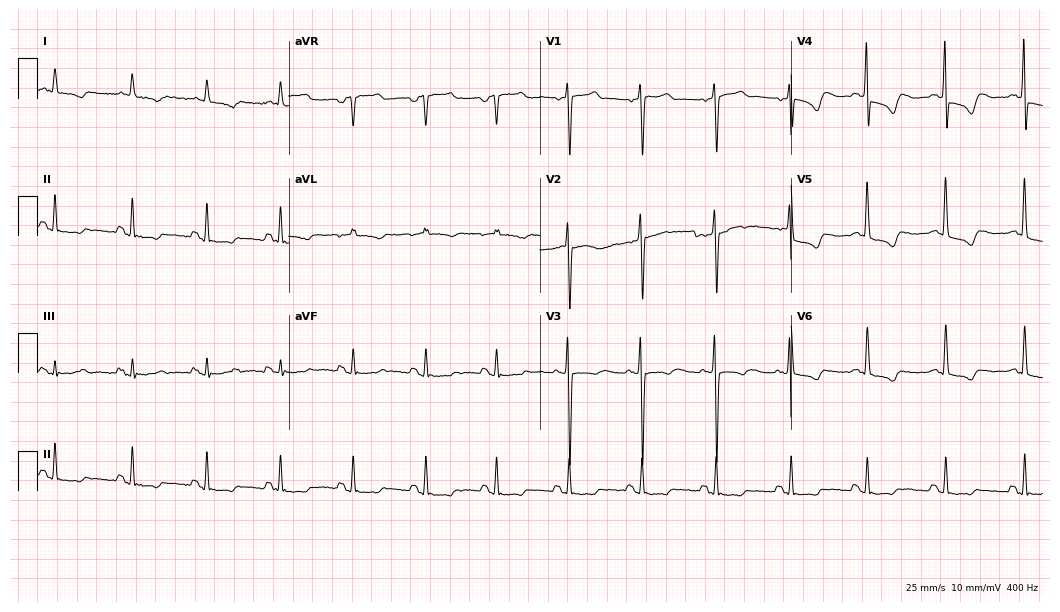
ECG — a man, 67 years old. Screened for six findings — first-degree AV block, right bundle branch block, left bundle branch block, sinus bradycardia, atrial fibrillation, sinus tachycardia — none is recorded. Findings outside these six are not listed.